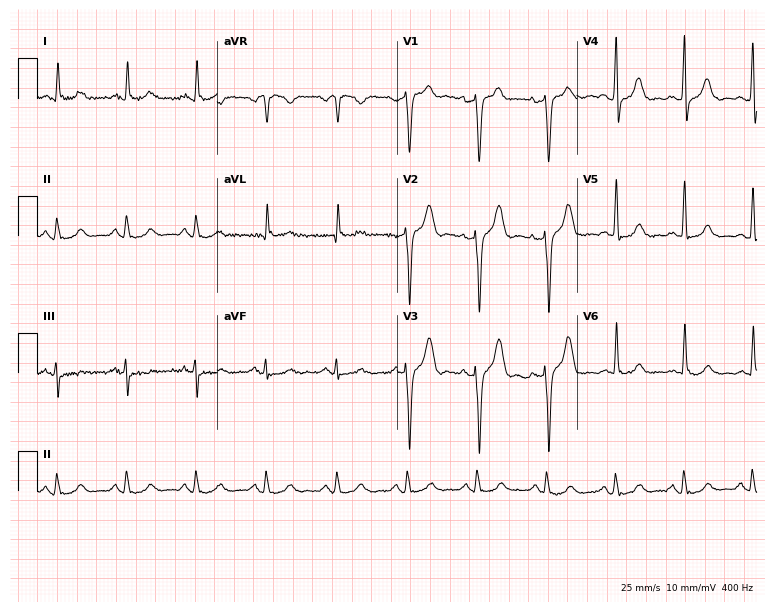
Standard 12-lead ECG recorded from a 70-year-old man. Read as a normal ECG.